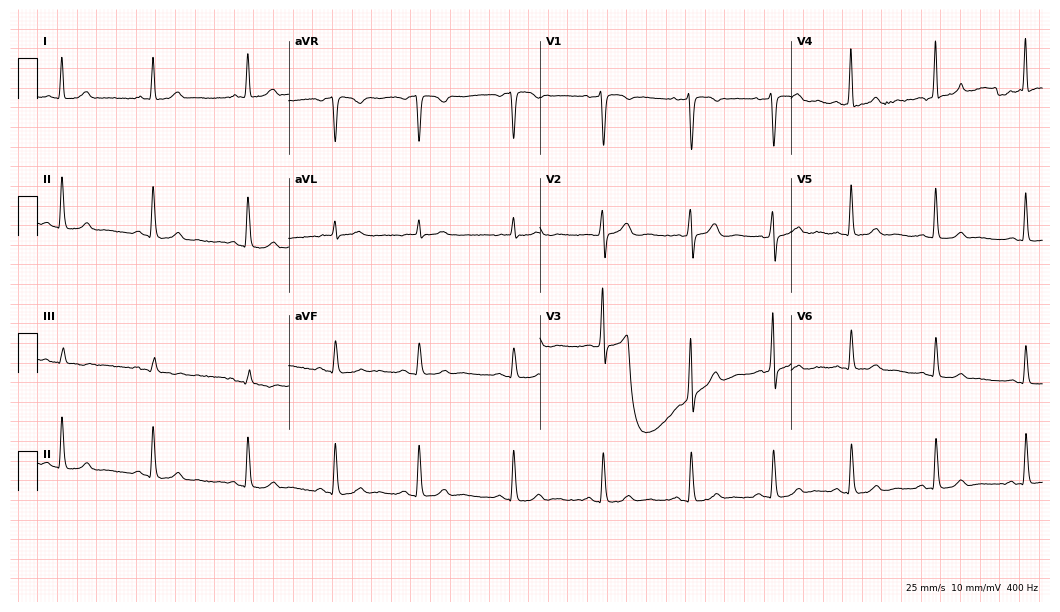
Electrocardiogram, a female, 50 years old. Overall reading on record: normal ECG.